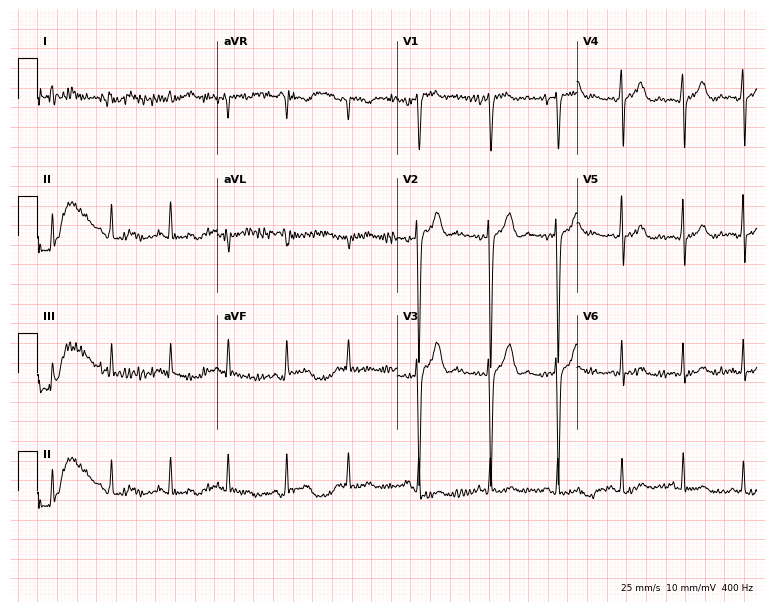
Electrocardiogram (7.3-second recording at 400 Hz), a 26-year-old male patient. Of the six screened findings (first-degree AV block, right bundle branch block, left bundle branch block, sinus bradycardia, atrial fibrillation, sinus tachycardia), none is recorded.